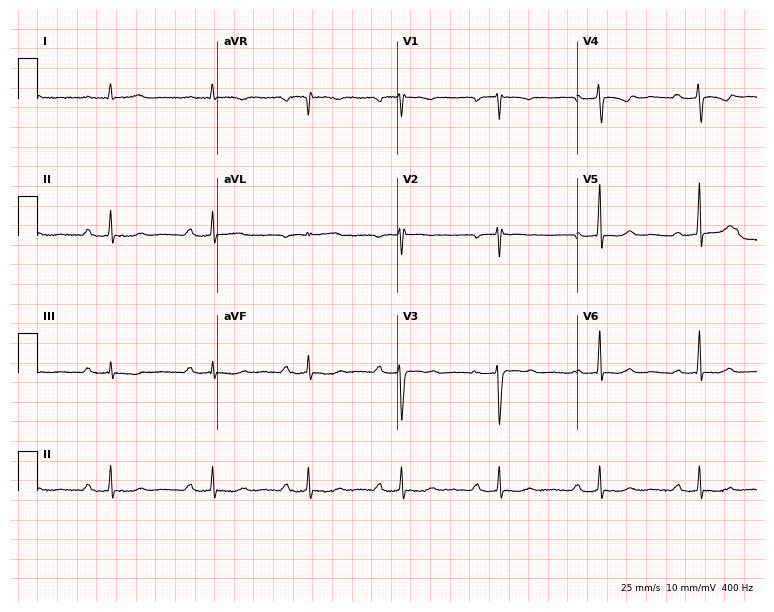
Standard 12-lead ECG recorded from a 49-year-old woman (7.3-second recording at 400 Hz). None of these six findings is recorded: first-degree AV block, right bundle branch block, left bundle branch block, sinus bradycardia, atrial fibrillation, sinus tachycardia.